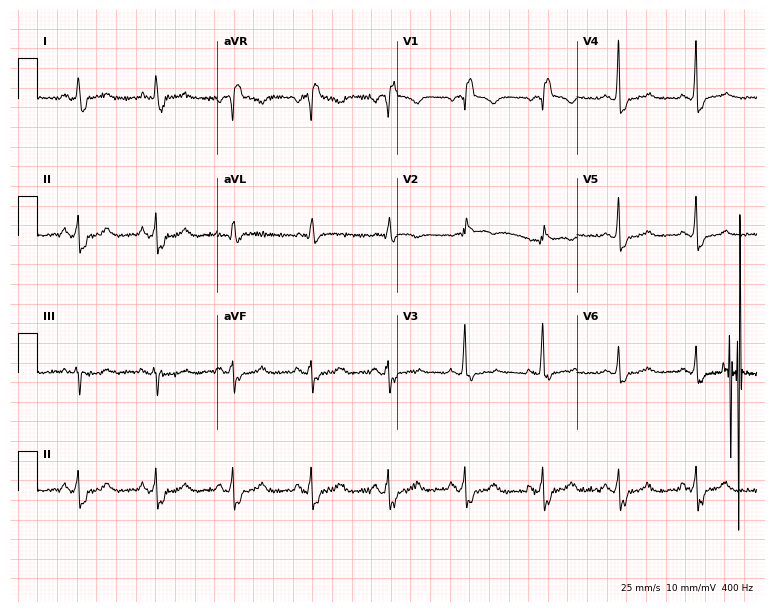
ECG (7.3-second recording at 400 Hz) — a 59-year-old woman. Findings include right bundle branch block.